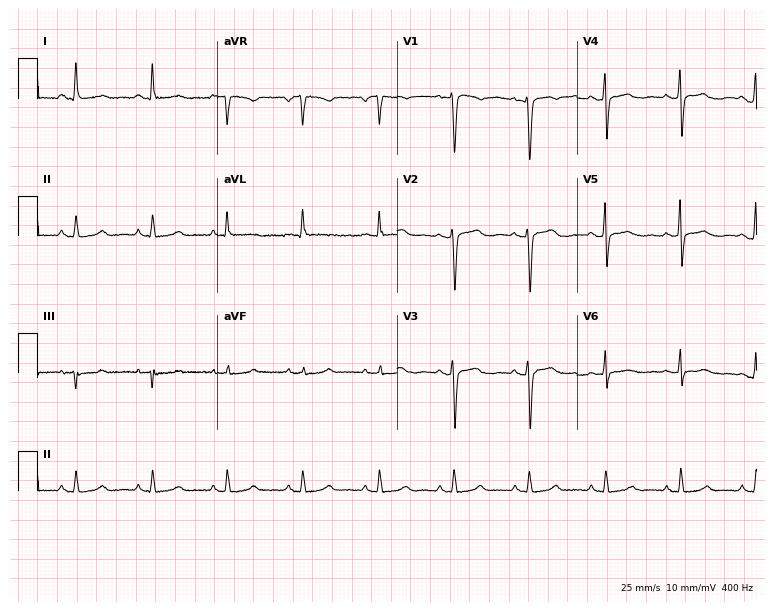
12-lead ECG from a 50-year-old female patient. No first-degree AV block, right bundle branch block, left bundle branch block, sinus bradycardia, atrial fibrillation or sinus tachycardia recorded for this tracing.